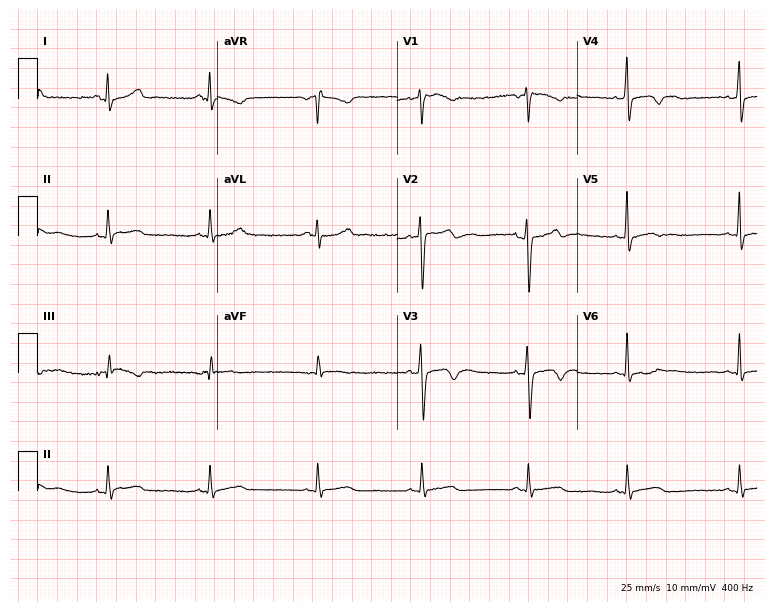
ECG — a man, 27 years old. Screened for six findings — first-degree AV block, right bundle branch block, left bundle branch block, sinus bradycardia, atrial fibrillation, sinus tachycardia — none is recorded. Findings outside these six are not listed.